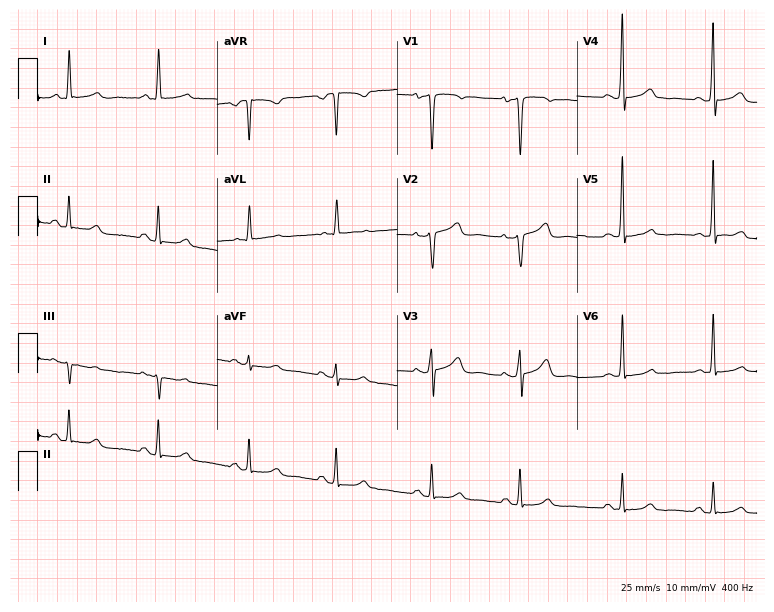
Standard 12-lead ECG recorded from a 45-year-old female patient (7.3-second recording at 400 Hz). None of these six findings is recorded: first-degree AV block, right bundle branch block, left bundle branch block, sinus bradycardia, atrial fibrillation, sinus tachycardia.